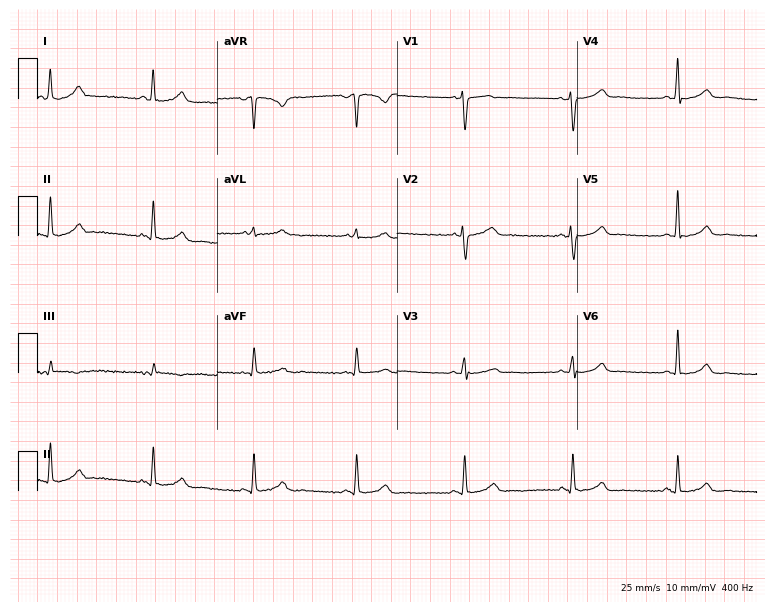
Standard 12-lead ECG recorded from a female, 42 years old. None of these six findings is recorded: first-degree AV block, right bundle branch block, left bundle branch block, sinus bradycardia, atrial fibrillation, sinus tachycardia. Findings outside these six are not listed.